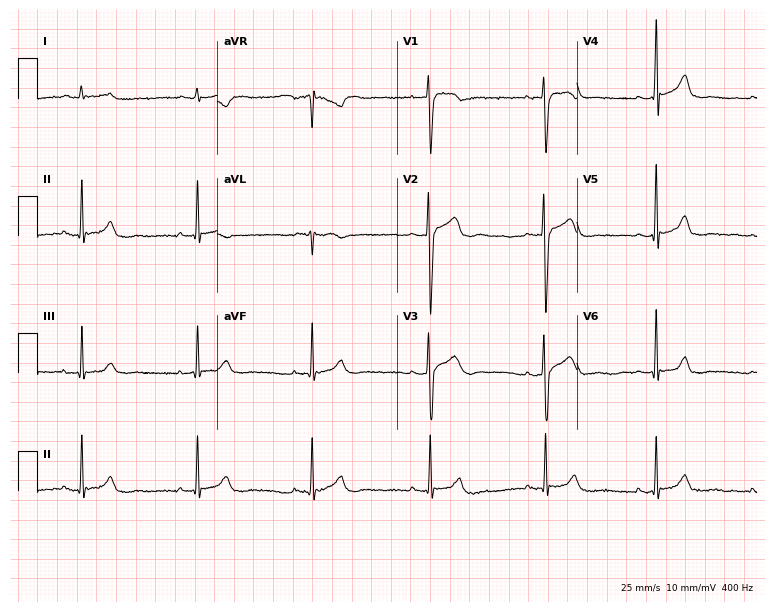
Resting 12-lead electrocardiogram. Patient: a 30-year-old male. Read as a normal ECG.